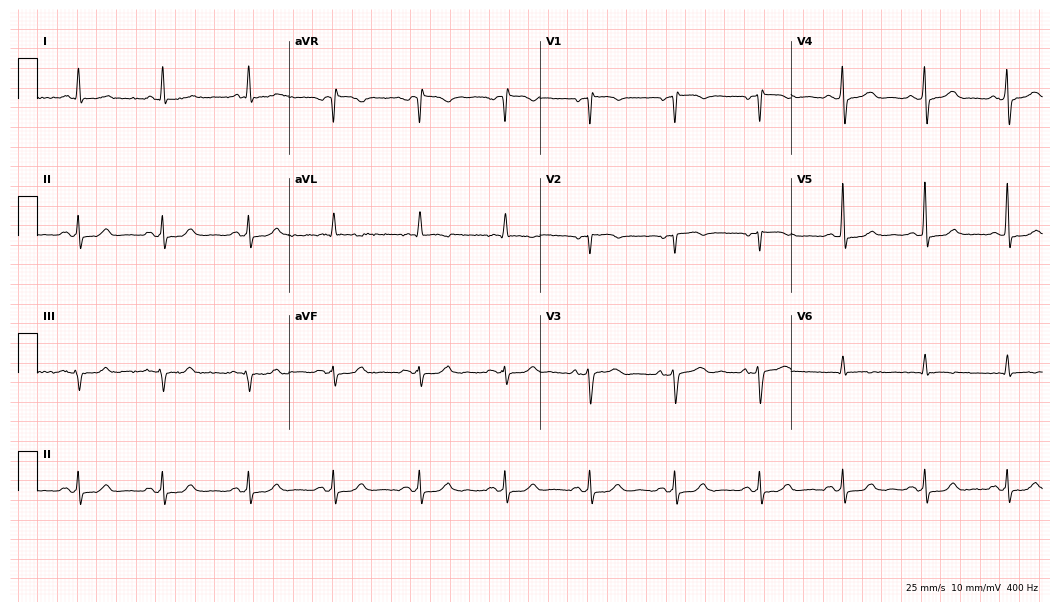
12-lead ECG from a male, 80 years old (10.2-second recording at 400 Hz). No first-degree AV block, right bundle branch block (RBBB), left bundle branch block (LBBB), sinus bradycardia, atrial fibrillation (AF) or sinus tachycardia recorded for this tracing. Other findings, if any, are not listed.